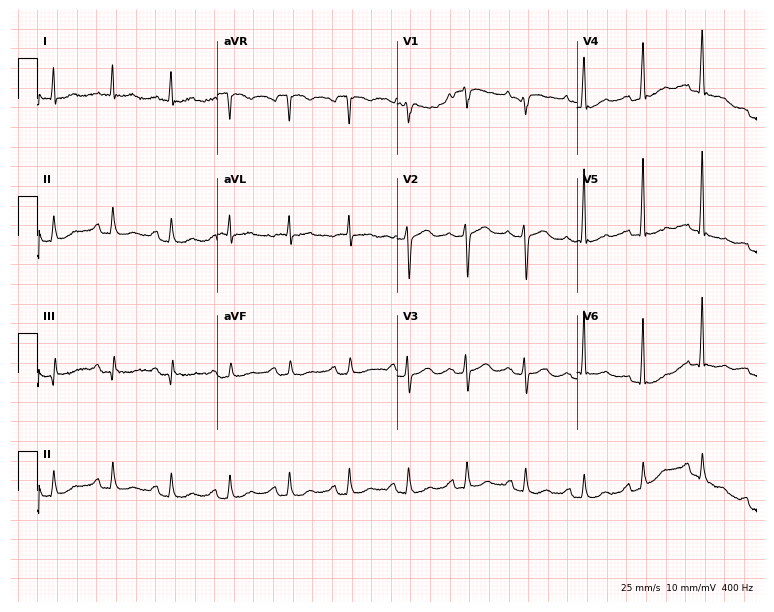
Standard 12-lead ECG recorded from a woman, 82 years old (7.3-second recording at 400 Hz). None of these six findings is recorded: first-degree AV block, right bundle branch block (RBBB), left bundle branch block (LBBB), sinus bradycardia, atrial fibrillation (AF), sinus tachycardia.